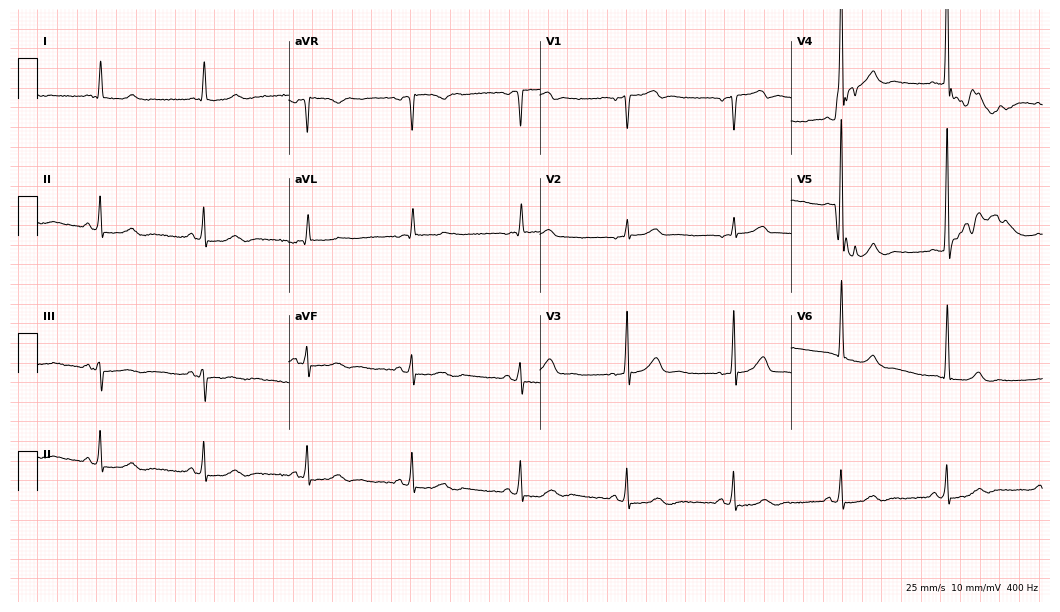
Resting 12-lead electrocardiogram (10.2-second recording at 400 Hz). Patient: a male, 70 years old. None of these six findings is recorded: first-degree AV block, right bundle branch block, left bundle branch block, sinus bradycardia, atrial fibrillation, sinus tachycardia.